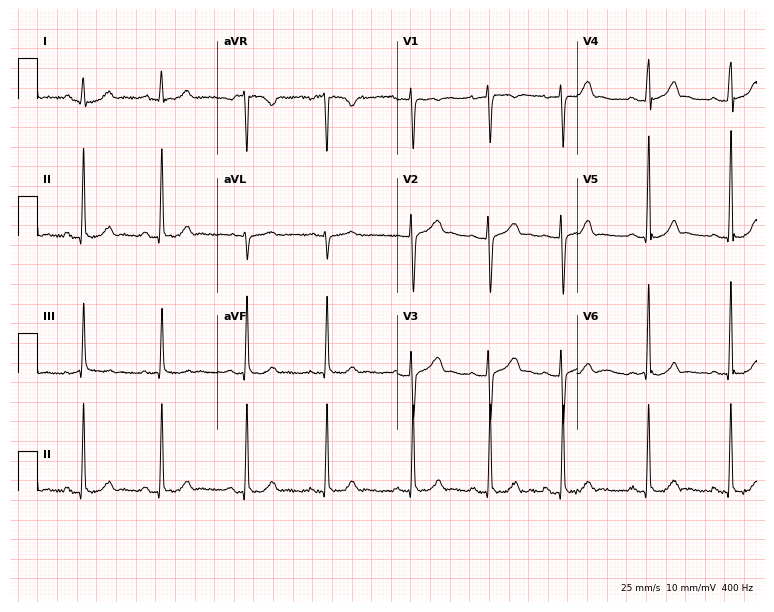
Electrocardiogram (7.3-second recording at 400 Hz), an 18-year-old female. Of the six screened findings (first-degree AV block, right bundle branch block, left bundle branch block, sinus bradycardia, atrial fibrillation, sinus tachycardia), none is recorded.